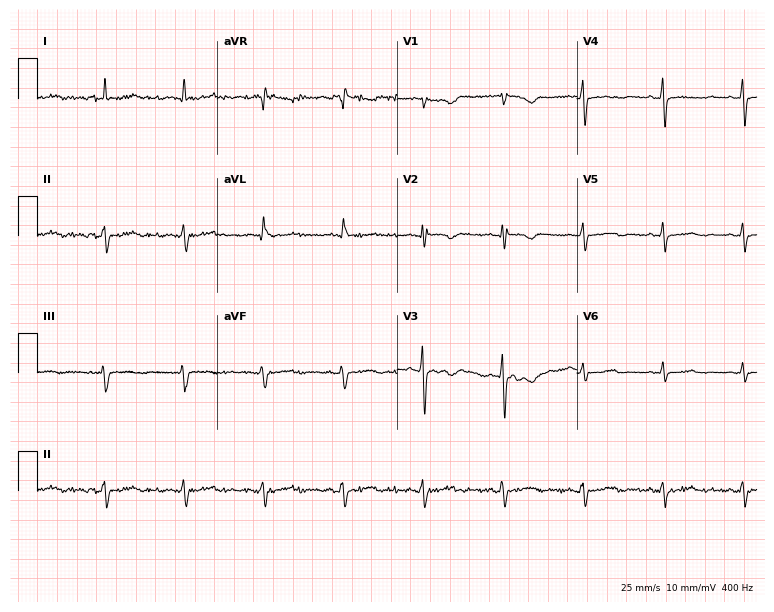
Standard 12-lead ECG recorded from a 35-year-old female. None of these six findings is recorded: first-degree AV block, right bundle branch block, left bundle branch block, sinus bradycardia, atrial fibrillation, sinus tachycardia. Findings outside these six are not listed.